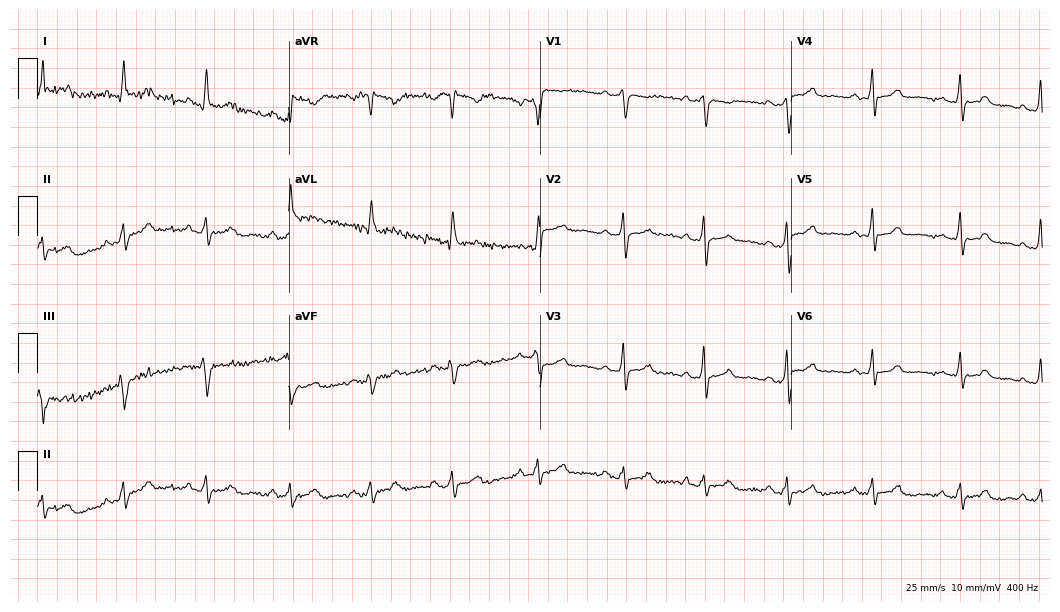
12-lead ECG from a female, 47 years old (10.2-second recording at 400 Hz). No first-degree AV block, right bundle branch block (RBBB), left bundle branch block (LBBB), sinus bradycardia, atrial fibrillation (AF) or sinus tachycardia recorded for this tracing. Other findings, if any, are not listed.